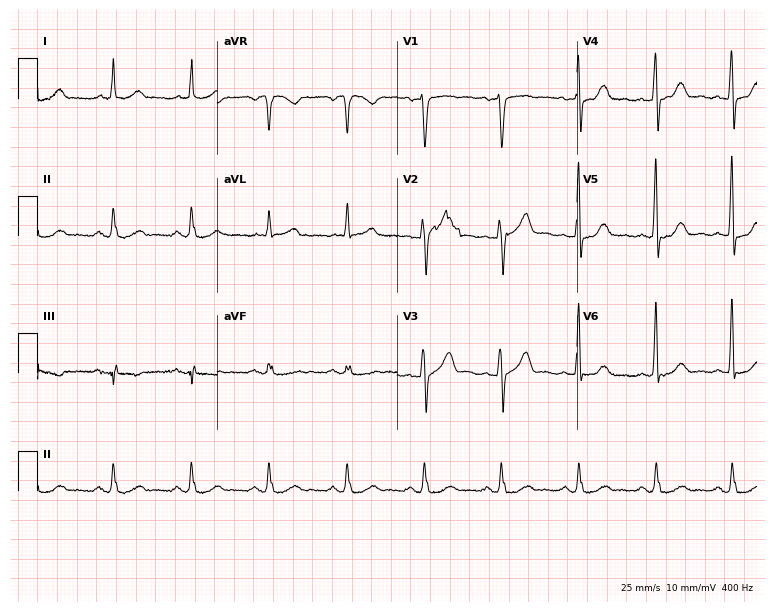
Electrocardiogram, a 60-year-old female patient. Overall reading on record: normal ECG.